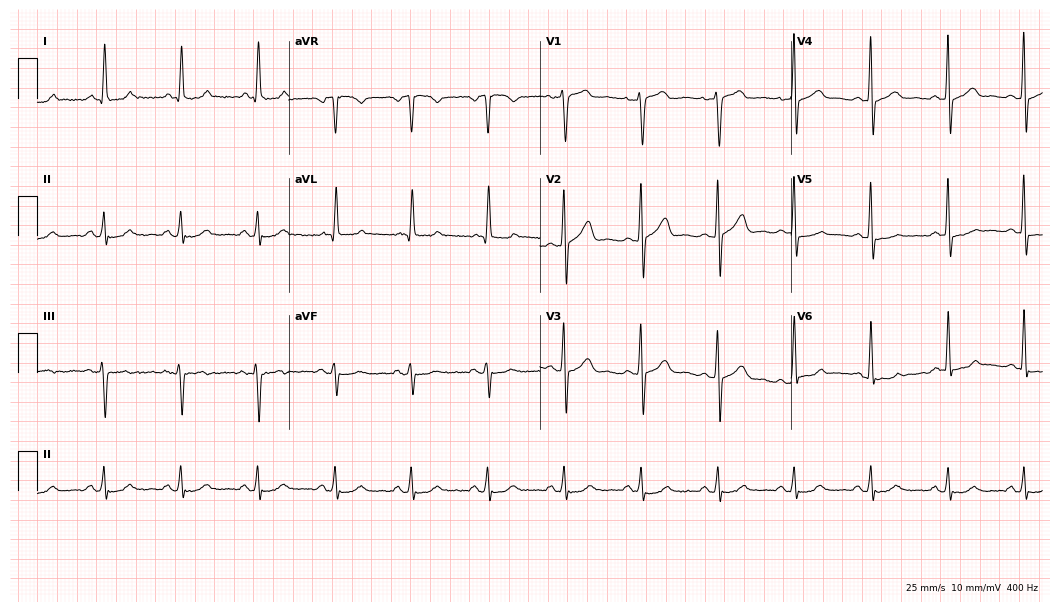
12-lead ECG from a 64-year-old man. Labelled as a normal ECG.